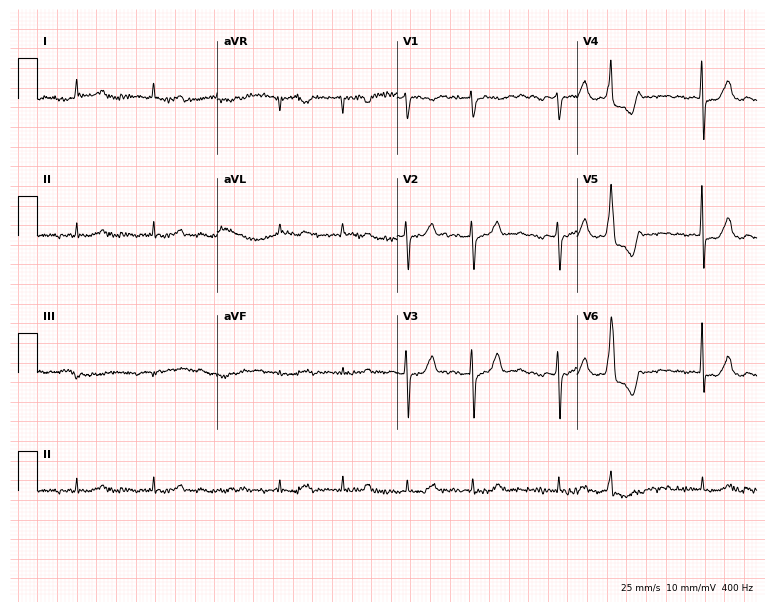
Standard 12-lead ECG recorded from a male, 86 years old (7.3-second recording at 400 Hz). The tracing shows atrial fibrillation.